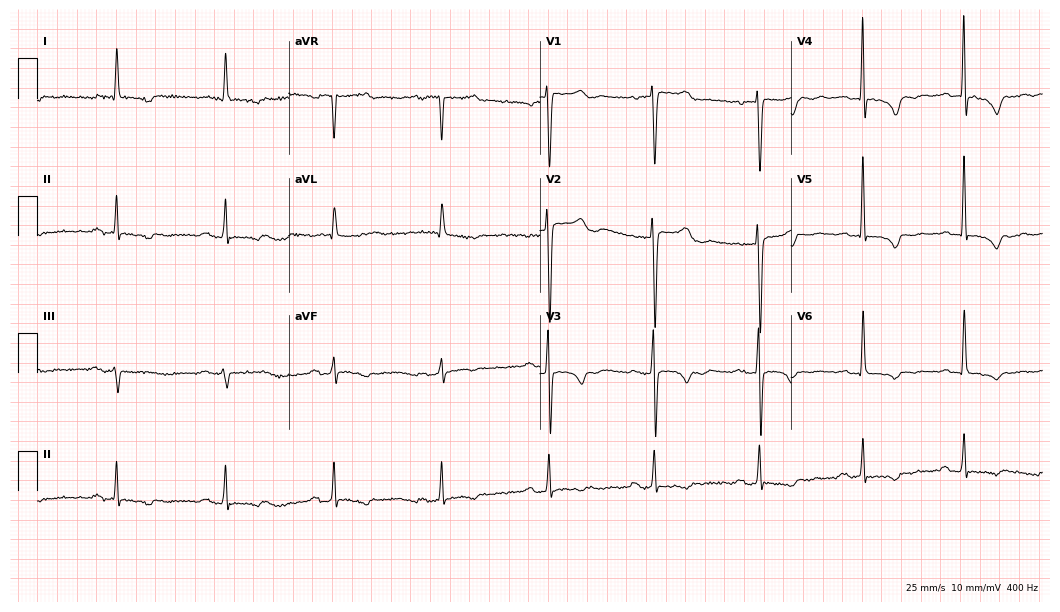
Electrocardiogram, a 78-year-old woman. Of the six screened findings (first-degree AV block, right bundle branch block (RBBB), left bundle branch block (LBBB), sinus bradycardia, atrial fibrillation (AF), sinus tachycardia), none is recorded. Only these six findings were labelled.